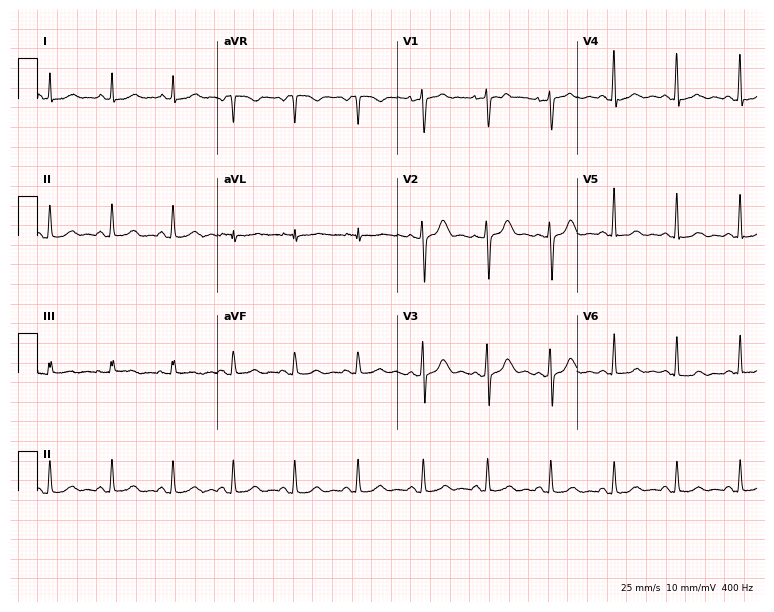
12-lead ECG from a 49-year-old female patient (7.3-second recording at 400 Hz). Recorded interpretation: within normal limits.